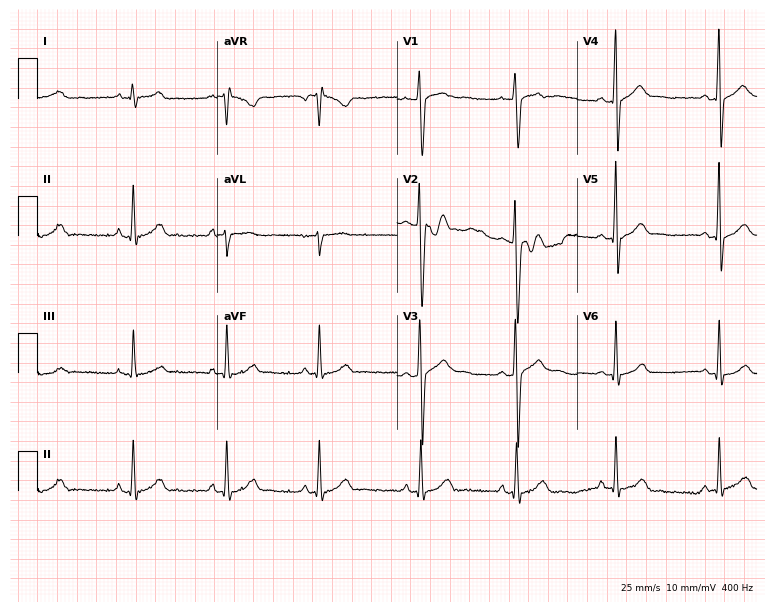
Resting 12-lead electrocardiogram (7.3-second recording at 400 Hz). Patient: a male, 20 years old. None of these six findings is recorded: first-degree AV block, right bundle branch block (RBBB), left bundle branch block (LBBB), sinus bradycardia, atrial fibrillation (AF), sinus tachycardia. Findings outside these six are not listed.